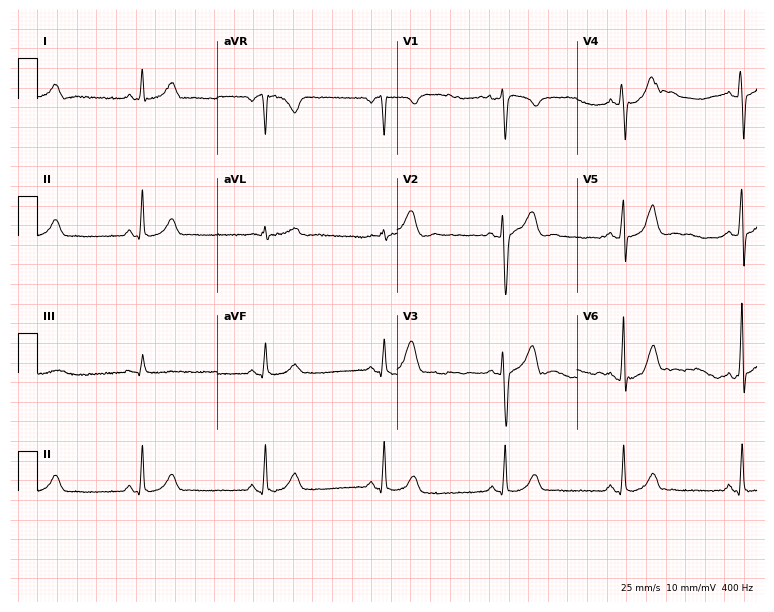
Resting 12-lead electrocardiogram. Patient: a man, 28 years old. The tracing shows sinus bradycardia (a sinus rate of 50 beats per minute or less).